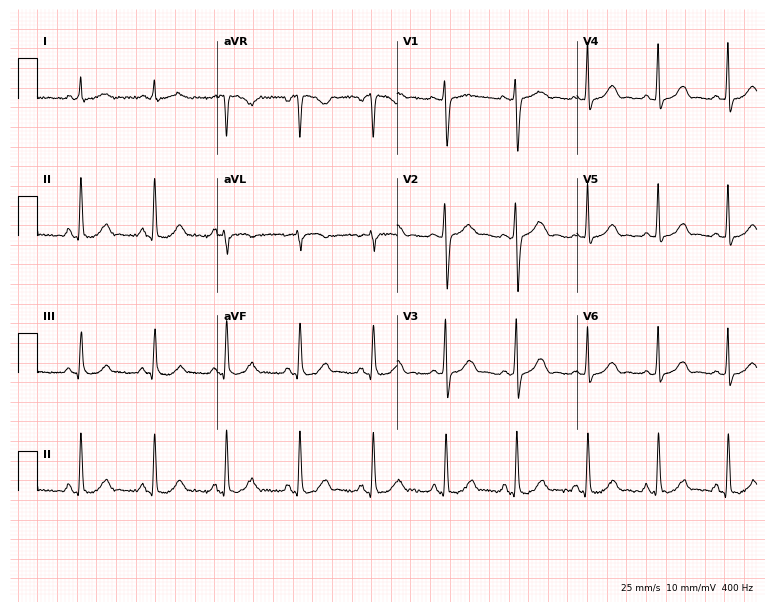
Resting 12-lead electrocardiogram. Patient: a 36-year-old female. None of these six findings is recorded: first-degree AV block, right bundle branch block, left bundle branch block, sinus bradycardia, atrial fibrillation, sinus tachycardia.